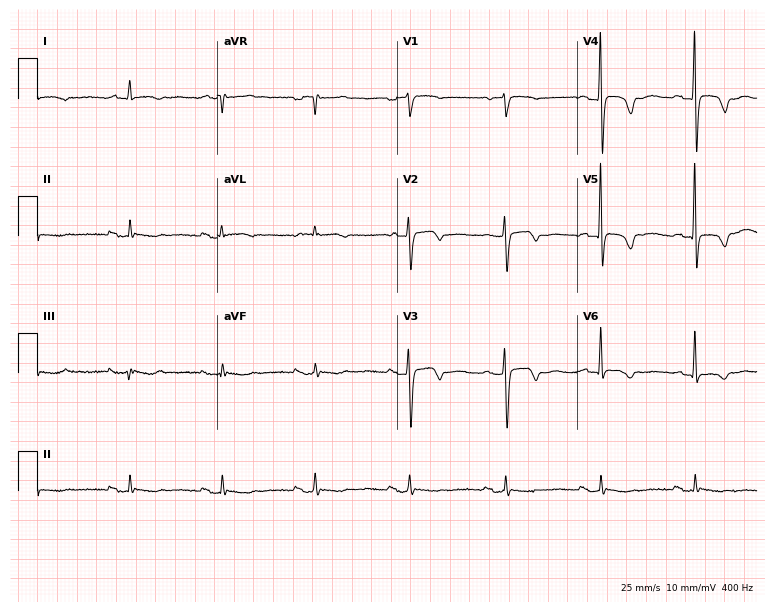
12-lead ECG (7.3-second recording at 400 Hz) from a woman, 62 years old. Screened for six findings — first-degree AV block, right bundle branch block, left bundle branch block, sinus bradycardia, atrial fibrillation, sinus tachycardia — none is recorded. Only these six findings were labelled.